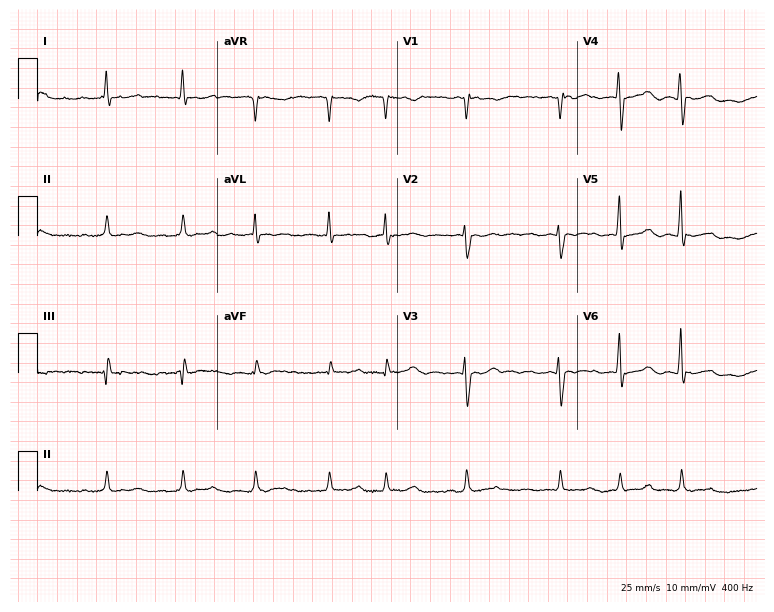
Standard 12-lead ECG recorded from a female patient, 73 years old (7.3-second recording at 400 Hz). The tracing shows atrial fibrillation (AF).